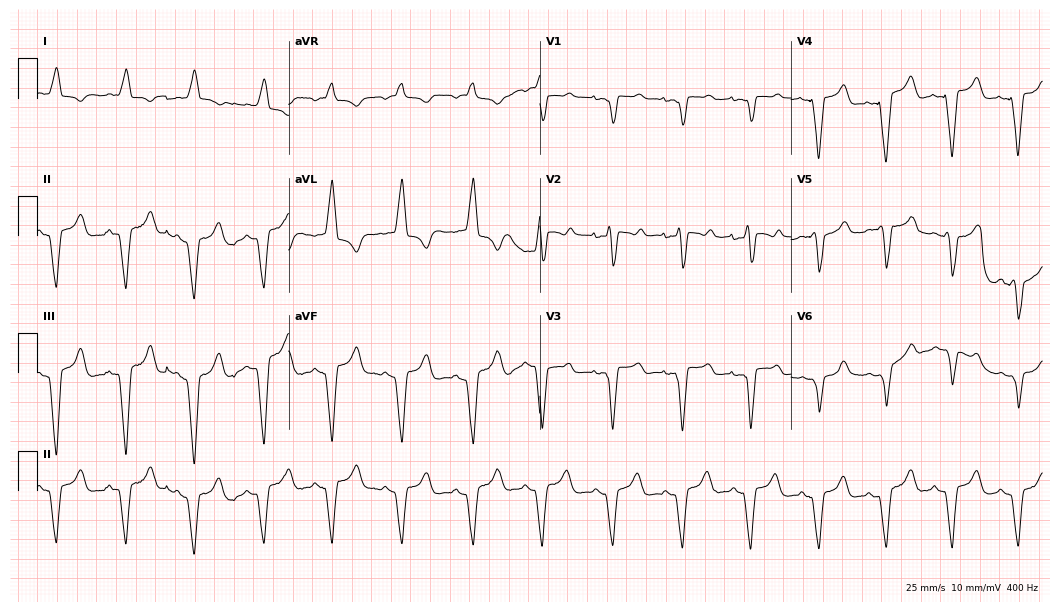
Standard 12-lead ECG recorded from an 85-year-old man (10.2-second recording at 400 Hz). None of these six findings is recorded: first-degree AV block, right bundle branch block, left bundle branch block, sinus bradycardia, atrial fibrillation, sinus tachycardia. Other findings, if any, are not listed.